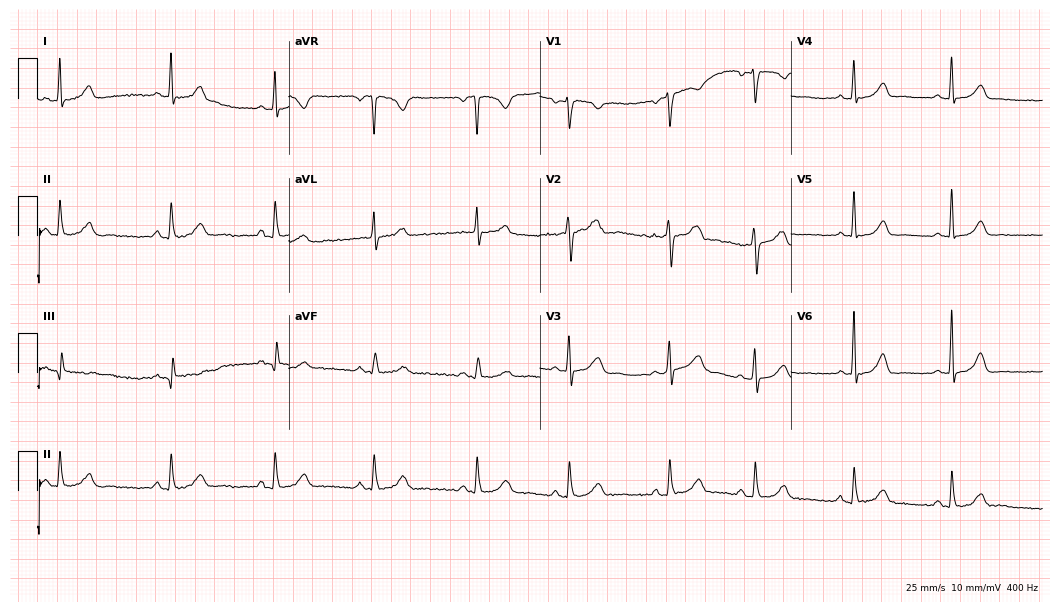
12-lead ECG from a woman, 46 years old. Recorded interpretation: within normal limits.